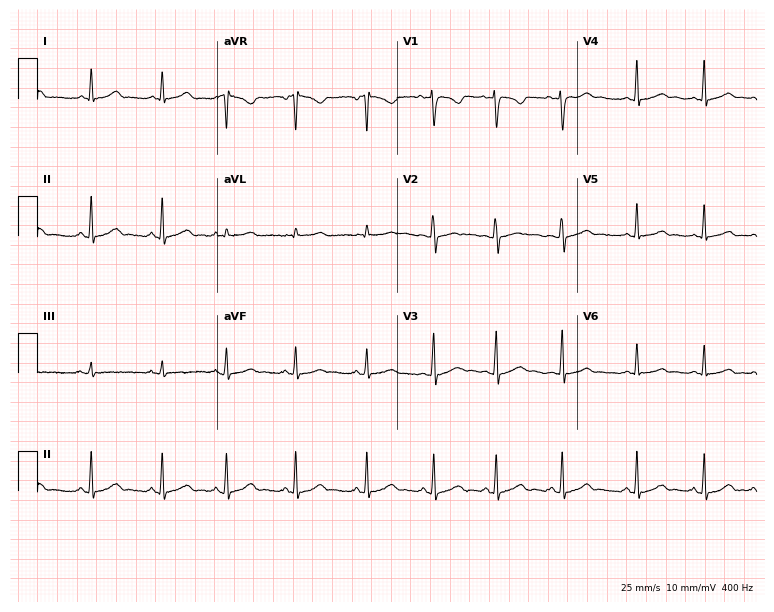
12-lead ECG (7.3-second recording at 400 Hz) from a woman, 28 years old. Labelled as a normal ECG.